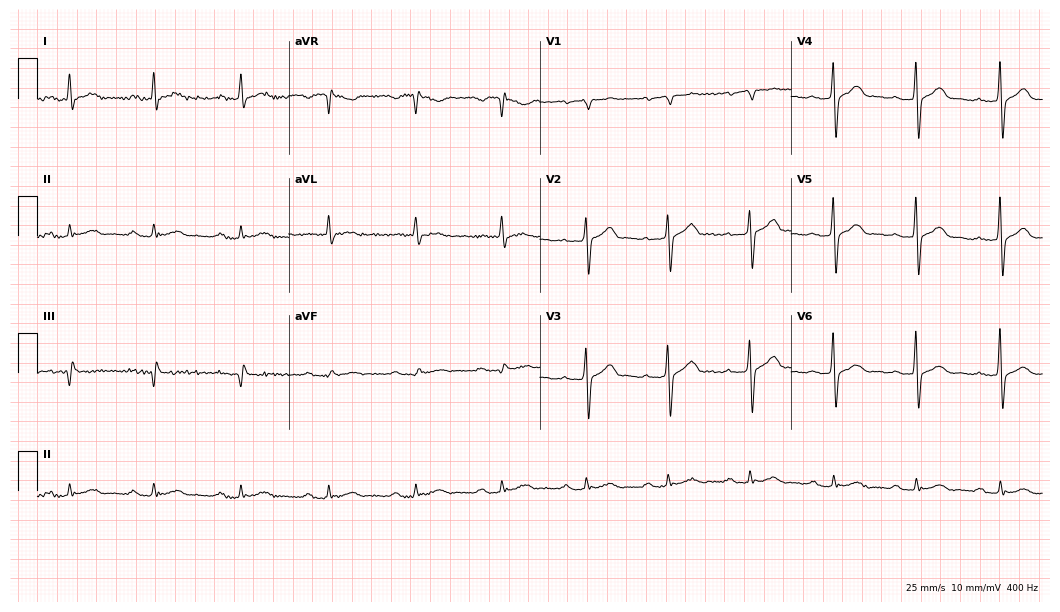
Resting 12-lead electrocardiogram. Patient: a male, 62 years old. None of these six findings is recorded: first-degree AV block, right bundle branch block, left bundle branch block, sinus bradycardia, atrial fibrillation, sinus tachycardia. Findings outside these six are not listed.